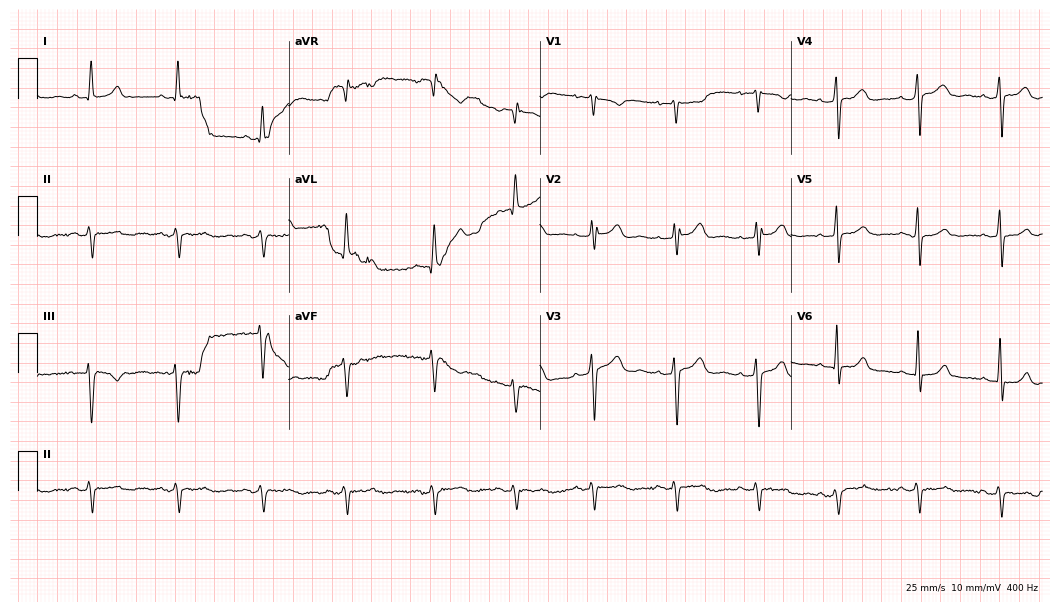
Resting 12-lead electrocardiogram (10.2-second recording at 400 Hz). Patient: a 34-year-old man. None of these six findings is recorded: first-degree AV block, right bundle branch block (RBBB), left bundle branch block (LBBB), sinus bradycardia, atrial fibrillation (AF), sinus tachycardia.